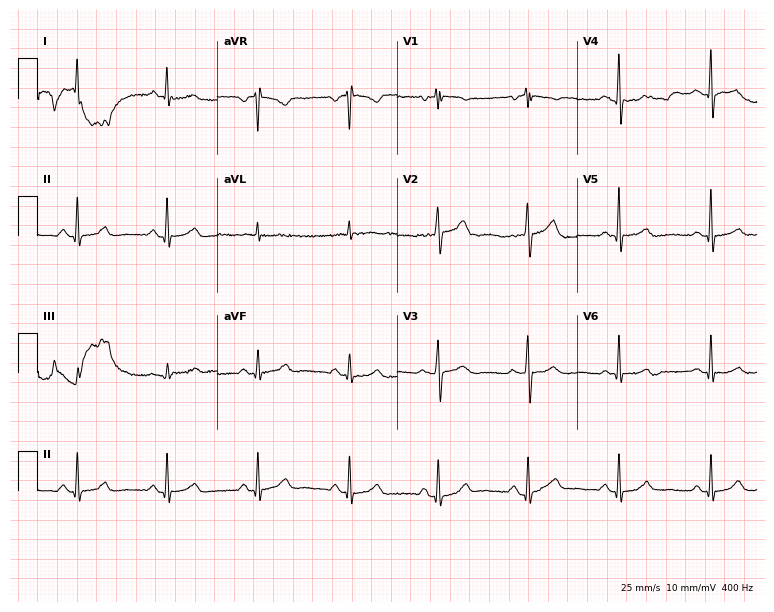
12-lead ECG (7.3-second recording at 400 Hz) from a 75-year-old woman. Labelled as a normal ECG.